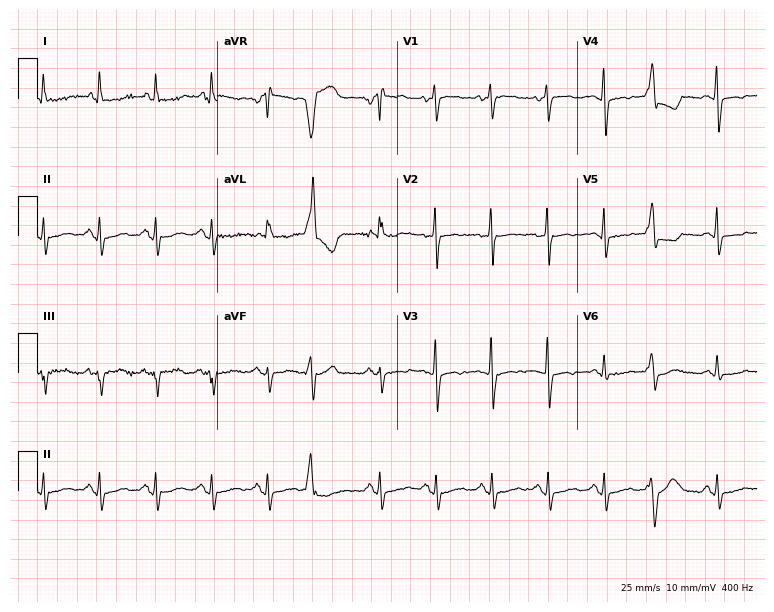
12-lead ECG from a 55-year-old female. No first-degree AV block, right bundle branch block, left bundle branch block, sinus bradycardia, atrial fibrillation or sinus tachycardia recorded for this tracing. Only these six findings were labelled.